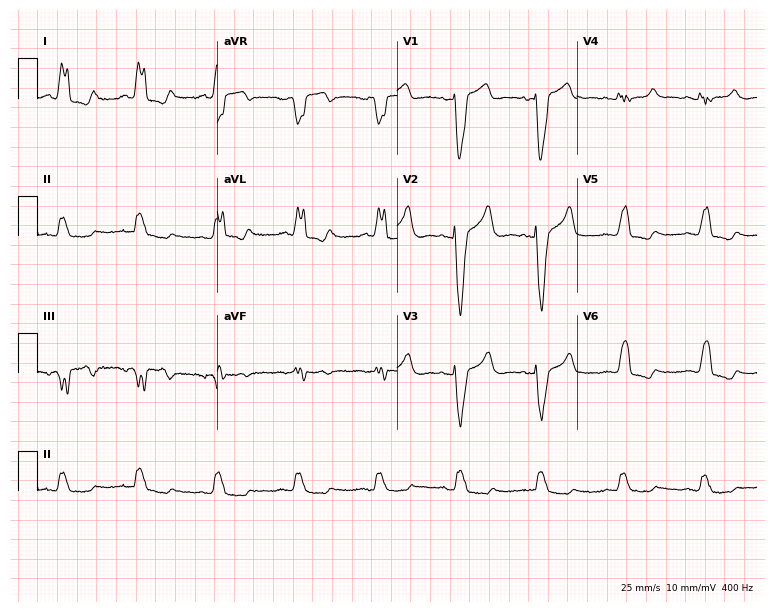
Electrocardiogram (7.3-second recording at 400 Hz), a 61-year-old female patient. Interpretation includes left bundle branch block (LBBB).